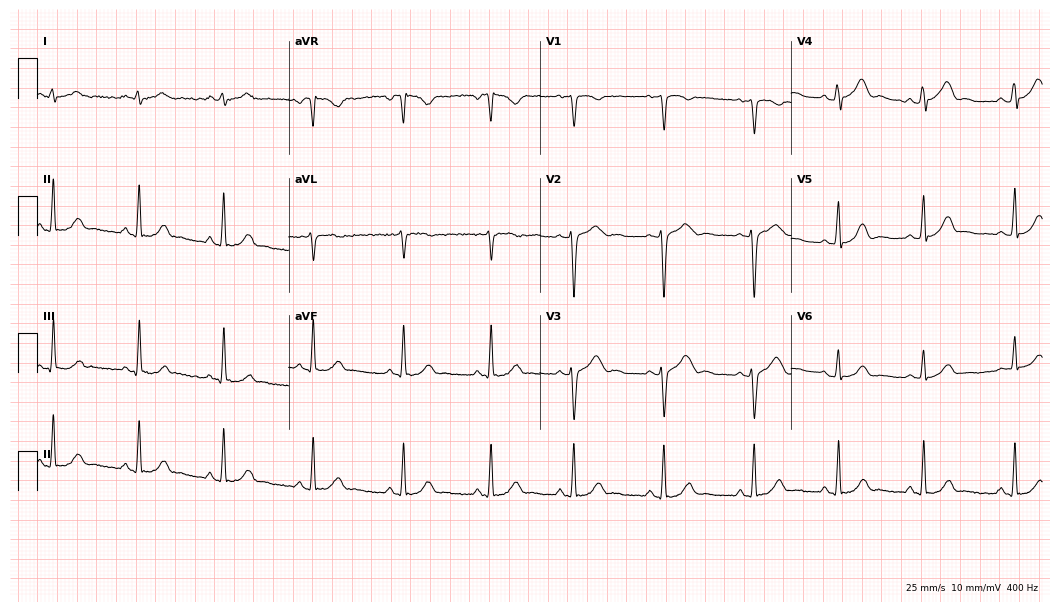
Resting 12-lead electrocardiogram (10.2-second recording at 400 Hz). Patient: a female, 18 years old. None of these six findings is recorded: first-degree AV block, right bundle branch block, left bundle branch block, sinus bradycardia, atrial fibrillation, sinus tachycardia.